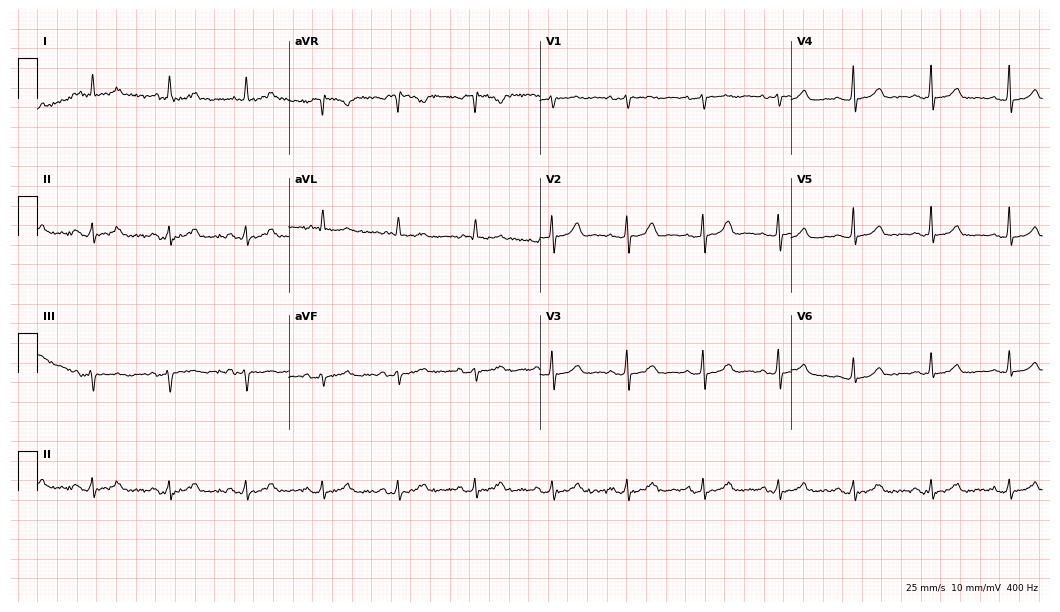
ECG (10.2-second recording at 400 Hz) — a female, 65 years old. Labelled as a normal ECG.